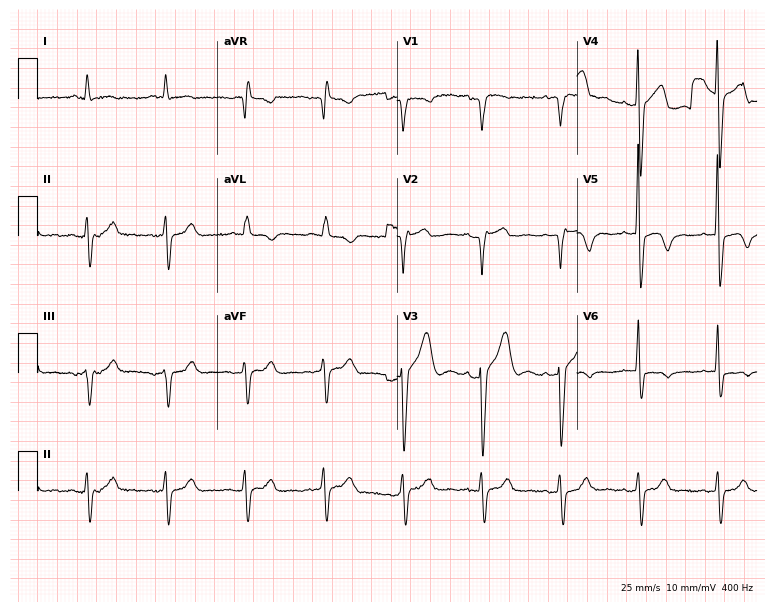
Resting 12-lead electrocardiogram (7.3-second recording at 400 Hz). Patient: a male, 83 years old. None of these six findings is recorded: first-degree AV block, right bundle branch block, left bundle branch block, sinus bradycardia, atrial fibrillation, sinus tachycardia. Findings outside these six are not listed.